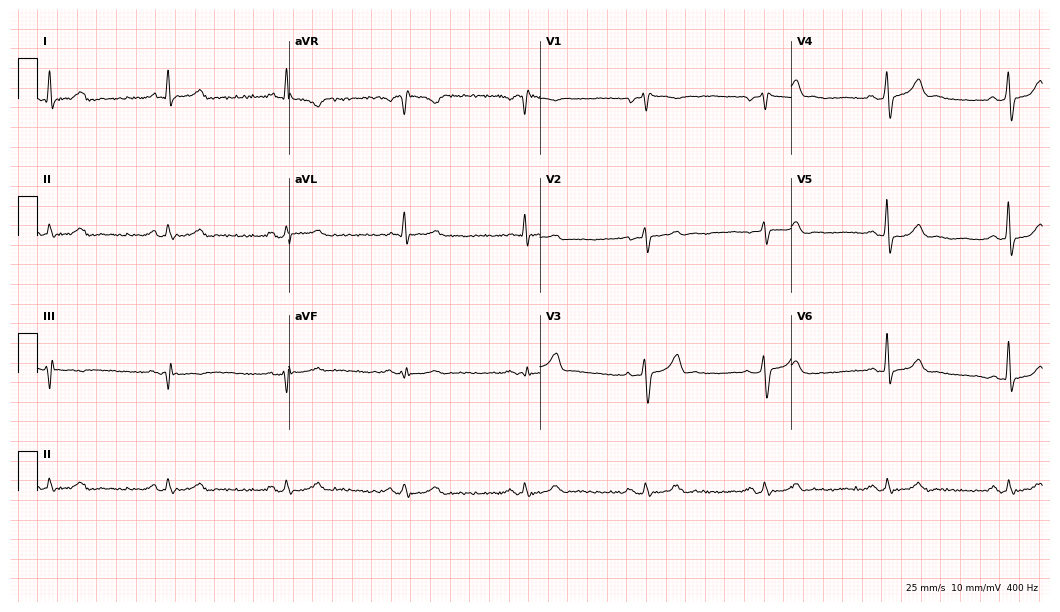
Standard 12-lead ECG recorded from a 65-year-old male patient (10.2-second recording at 400 Hz). The tracing shows sinus bradycardia (a sinus rate of 50 beats per minute or less).